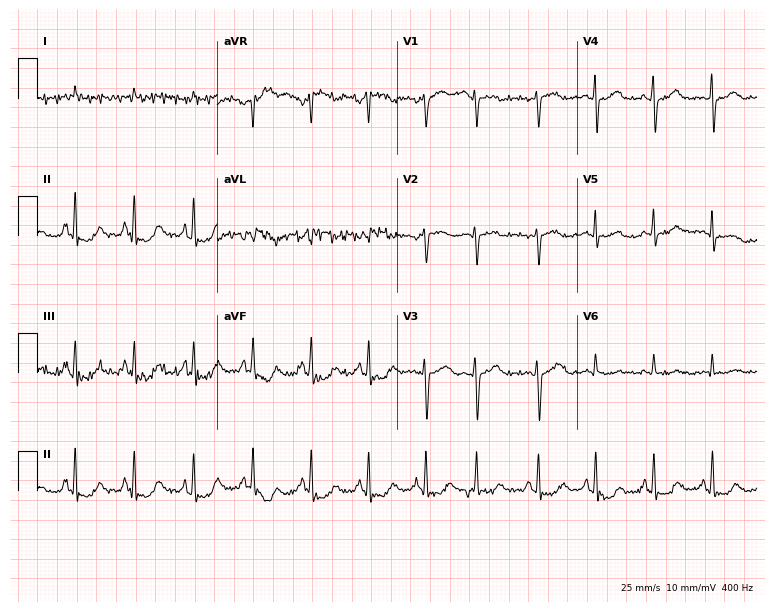
Resting 12-lead electrocardiogram (7.3-second recording at 400 Hz). Patient: a male, 58 years old. None of these six findings is recorded: first-degree AV block, right bundle branch block (RBBB), left bundle branch block (LBBB), sinus bradycardia, atrial fibrillation (AF), sinus tachycardia. Other findings, if any, are not listed.